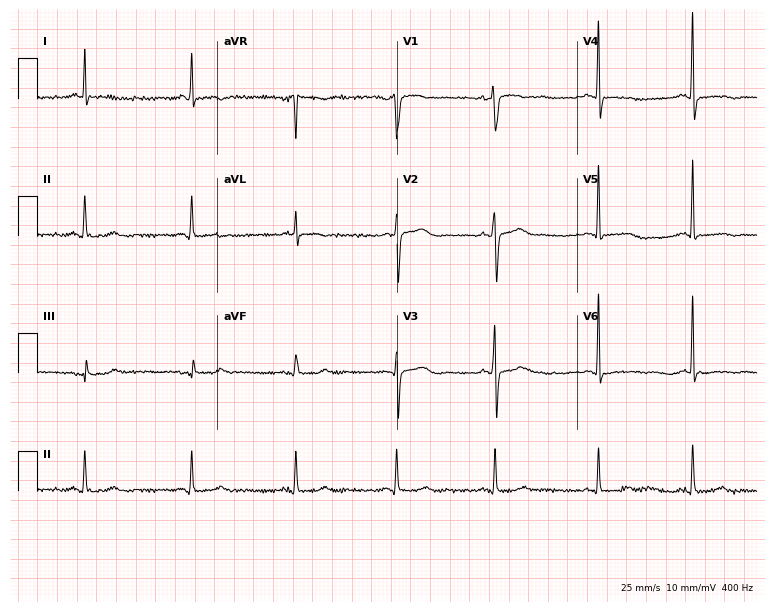
Electrocardiogram, a 38-year-old female. Of the six screened findings (first-degree AV block, right bundle branch block (RBBB), left bundle branch block (LBBB), sinus bradycardia, atrial fibrillation (AF), sinus tachycardia), none is recorded.